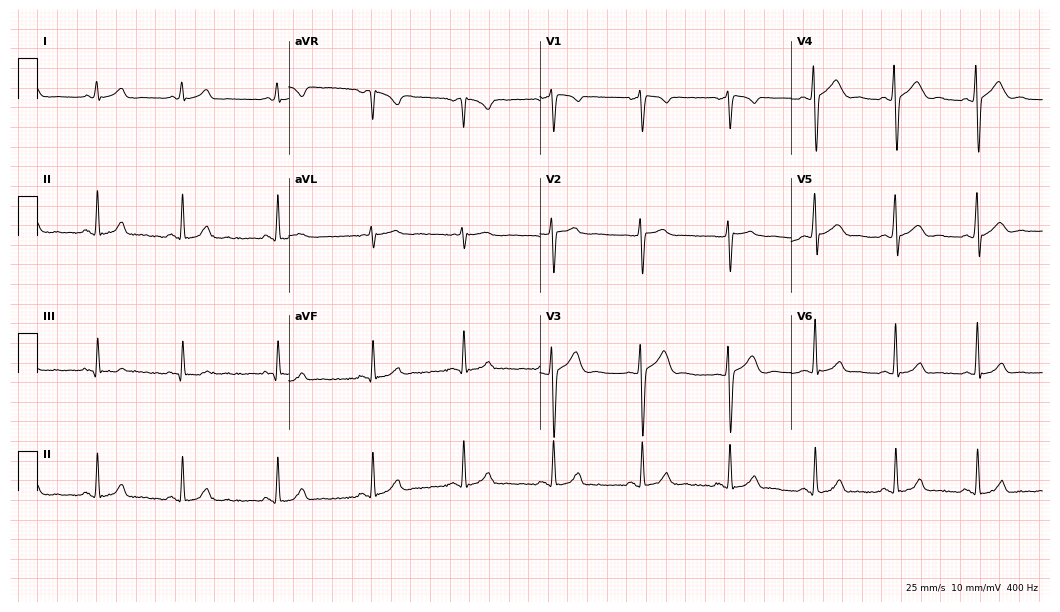
12-lead ECG (10.2-second recording at 400 Hz) from a 28-year-old male patient. Labelled as a normal ECG.